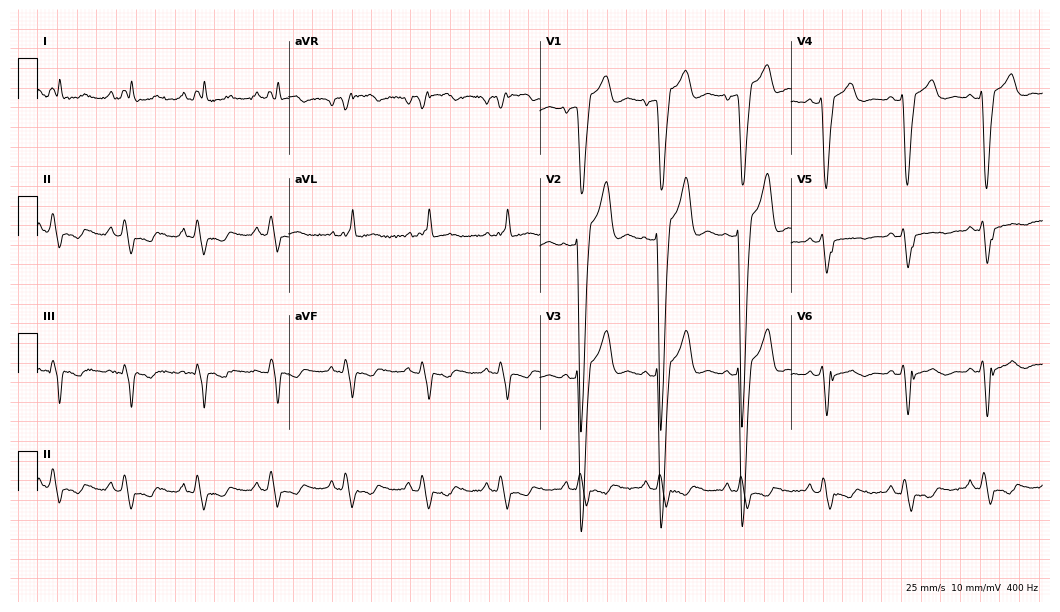
12-lead ECG (10.2-second recording at 400 Hz) from a male patient, 54 years old. Findings include left bundle branch block.